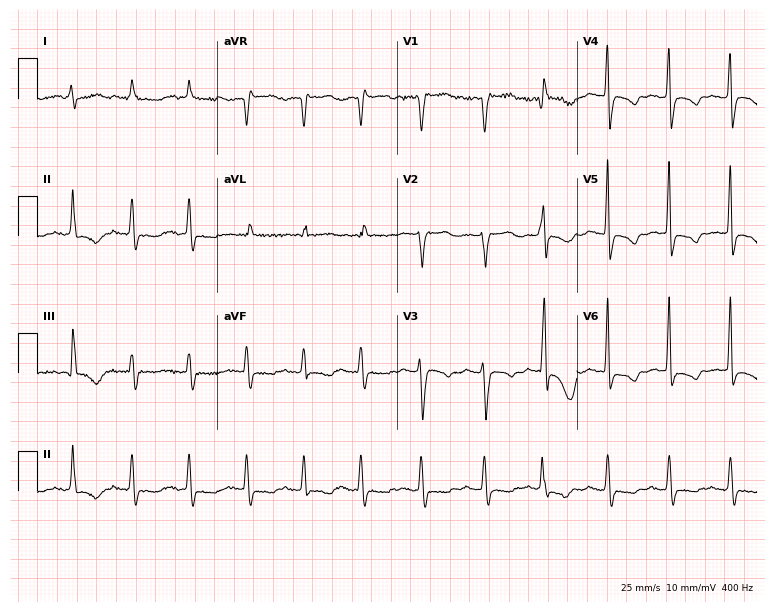
ECG (7.3-second recording at 400 Hz) — a female, 74 years old. Screened for six findings — first-degree AV block, right bundle branch block, left bundle branch block, sinus bradycardia, atrial fibrillation, sinus tachycardia — none is recorded. Findings outside these six are not listed.